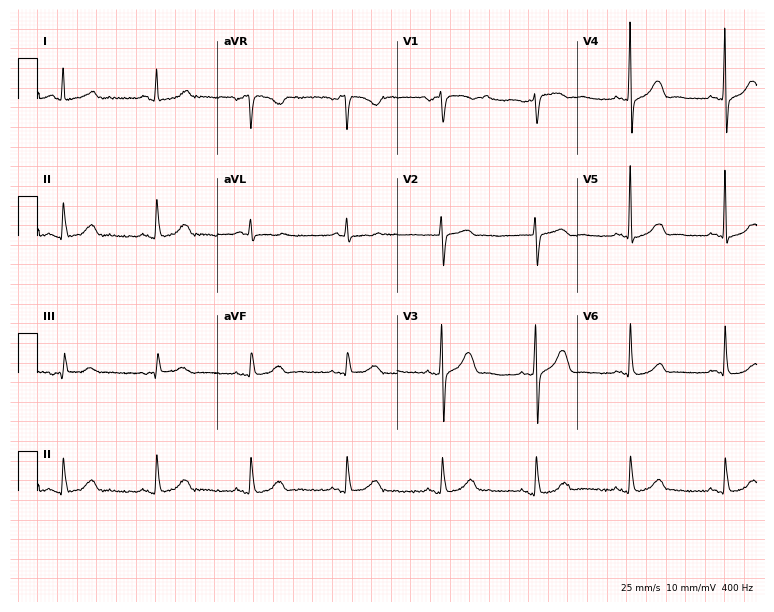
12-lead ECG from a 75-year-old female patient. Recorded interpretation: within normal limits.